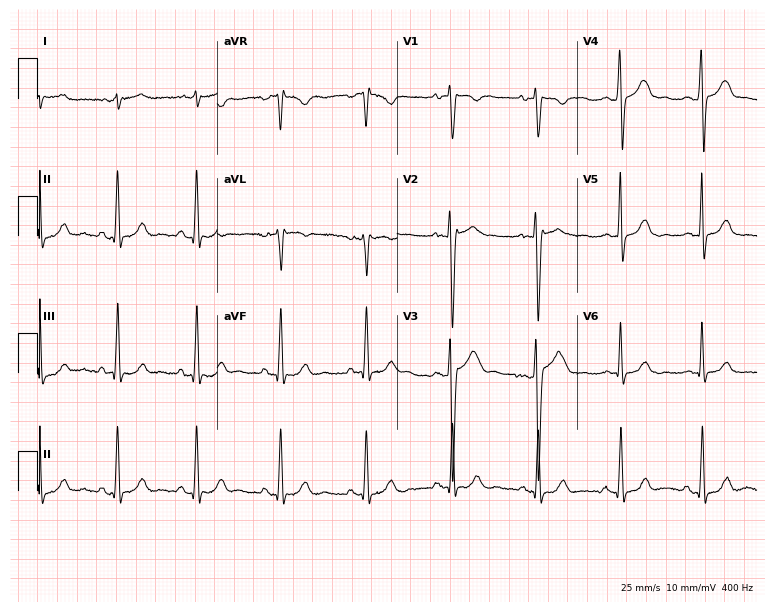
Resting 12-lead electrocardiogram. Patient: a male, 41 years old. None of these six findings is recorded: first-degree AV block, right bundle branch block, left bundle branch block, sinus bradycardia, atrial fibrillation, sinus tachycardia.